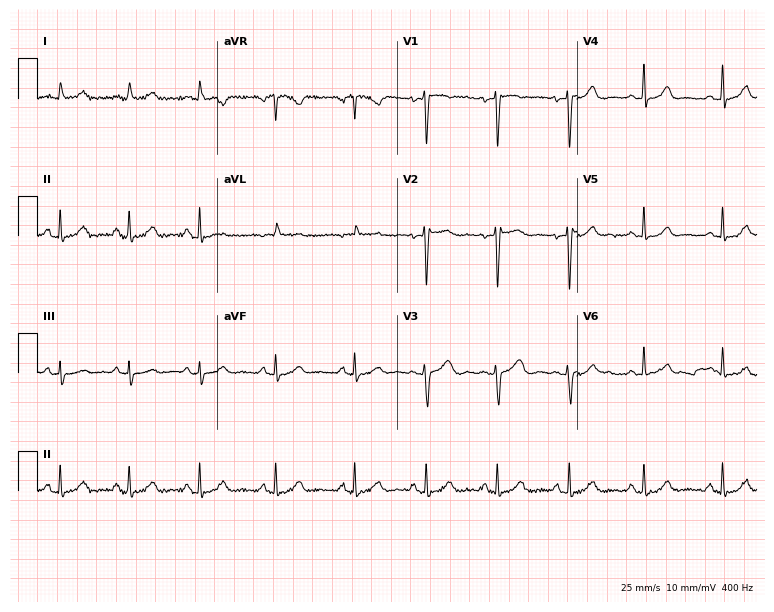
12-lead ECG from a 37-year-old female patient. Screened for six findings — first-degree AV block, right bundle branch block, left bundle branch block, sinus bradycardia, atrial fibrillation, sinus tachycardia — none is recorded.